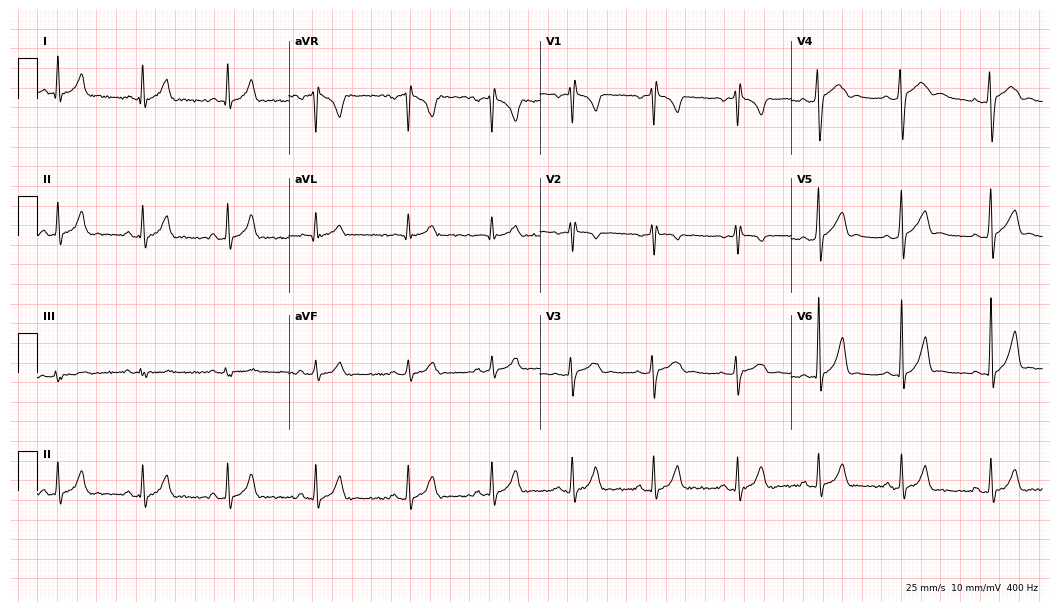
Resting 12-lead electrocardiogram (10.2-second recording at 400 Hz). Patient: a 20-year-old male. None of these six findings is recorded: first-degree AV block, right bundle branch block (RBBB), left bundle branch block (LBBB), sinus bradycardia, atrial fibrillation (AF), sinus tachycardia.